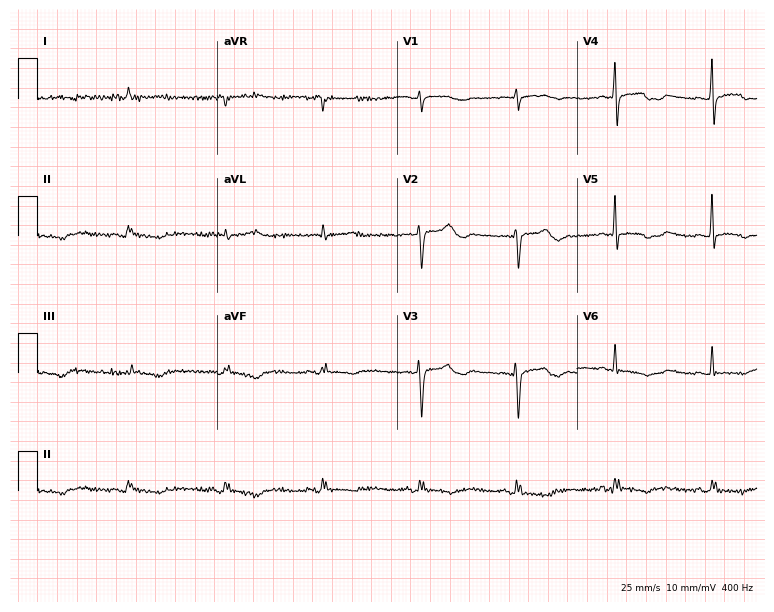
ECG — a 72-year-old female. Screened for six findings — first-degree AV block, right bundle branch block, left bundle branch block, sinus bradycardia, atrial fibrillation, sinus tachycardia — none is recorded.